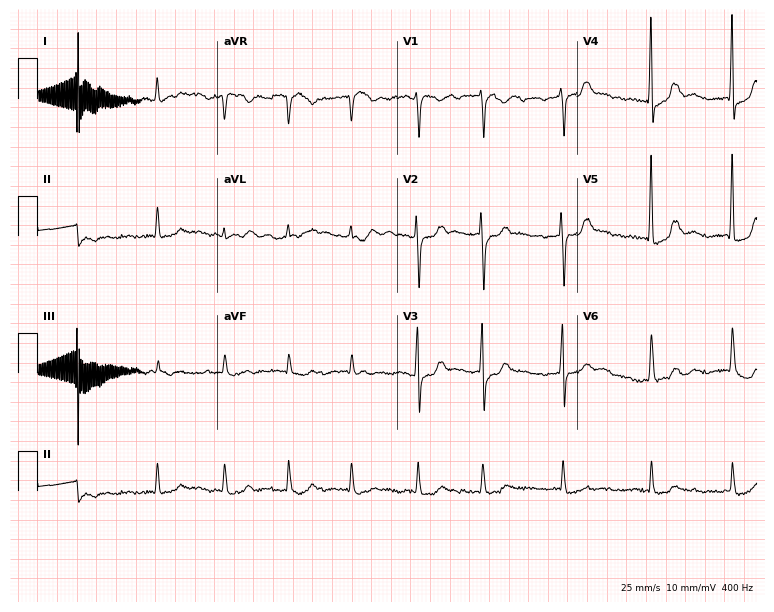
12-lead ECG from a 77-year-old female patient. Shows atrial fibrillation (AF).